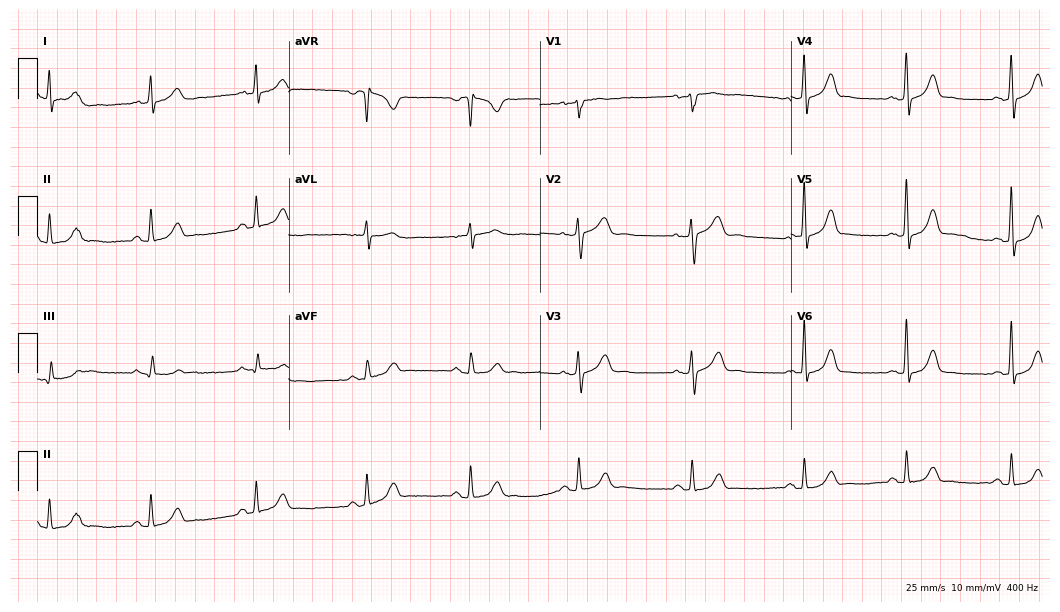
ECG (10.2-second recording at 400 Hz) — a female, 44 years old. Labelled as a normal ECG.